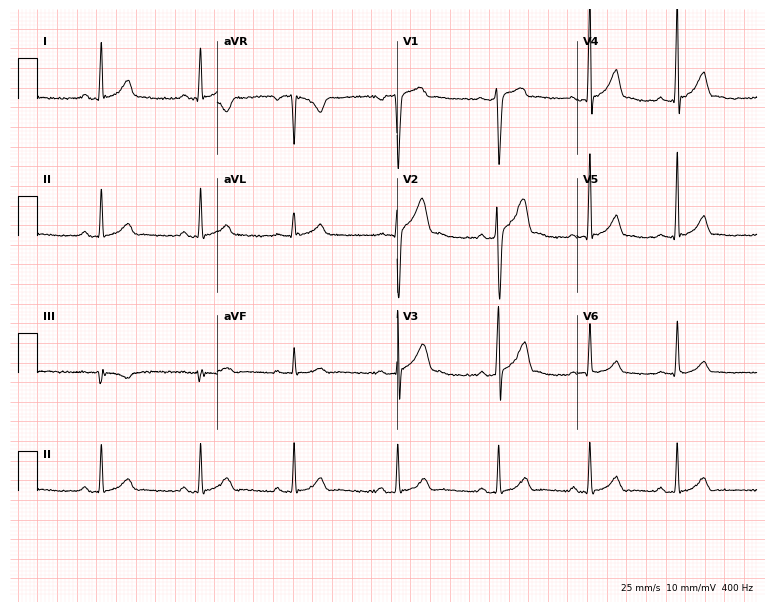
12-lead ECG from a 21-year-old man. Recorded interpretation: within normal limits.